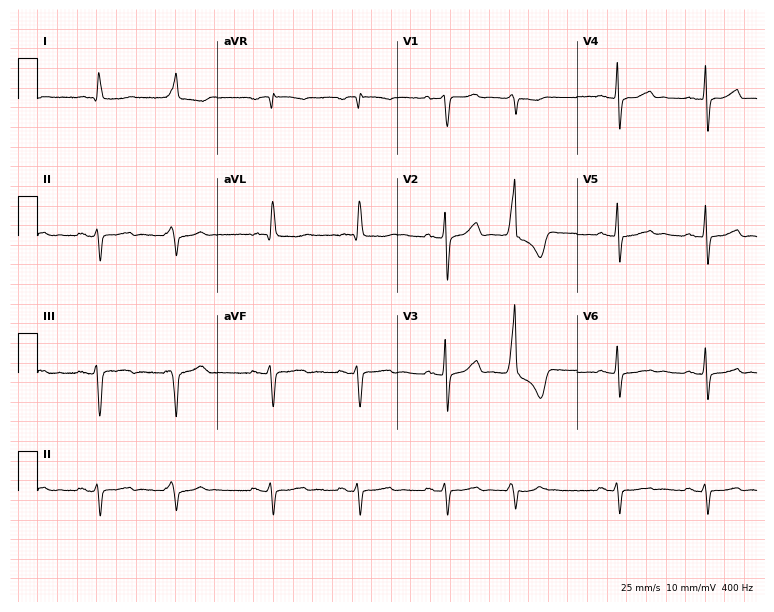
ECG — an 82-year-old male patient. Screened for six findings — first-degree AV block, right bundle branch block, left bundle branch block, sinus bradycardia, atrial fibrillation, sinus tachycardia — none is recorded.